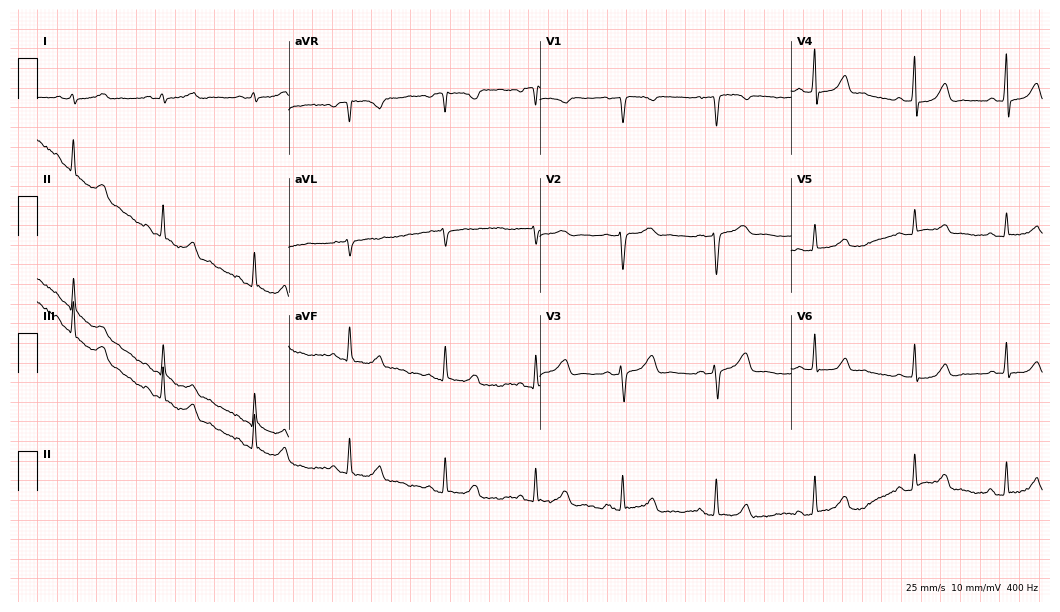
Resting 12-lead electrocardiogram (10.2-second recording at 400 Hz). Patient: a 40-year-old female. Read as a normal ECG.